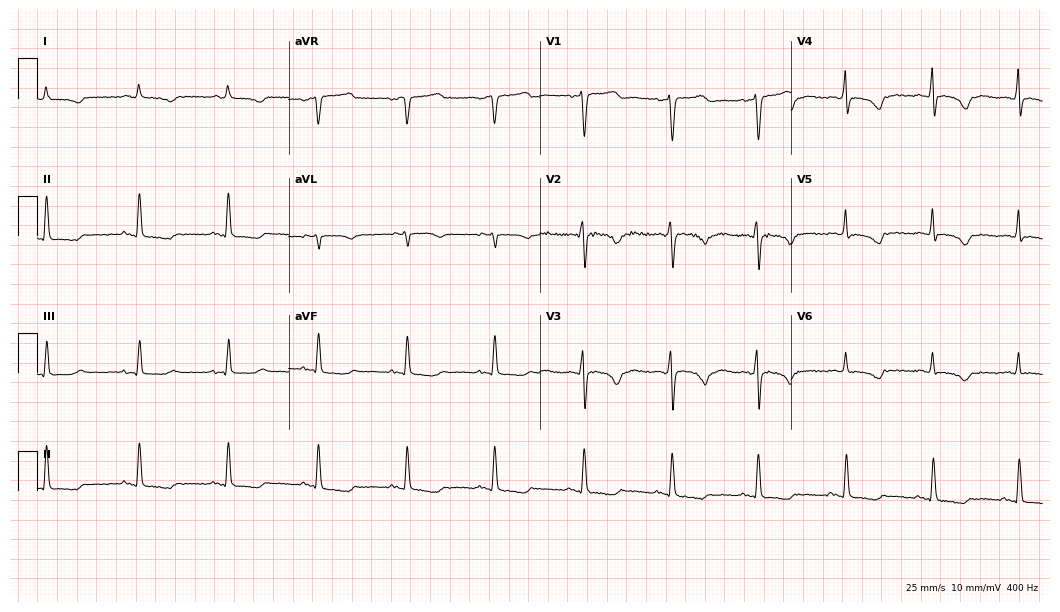
Electrocardiogram, a 49-year-old female patient. Overall reading on record: normal ECG.